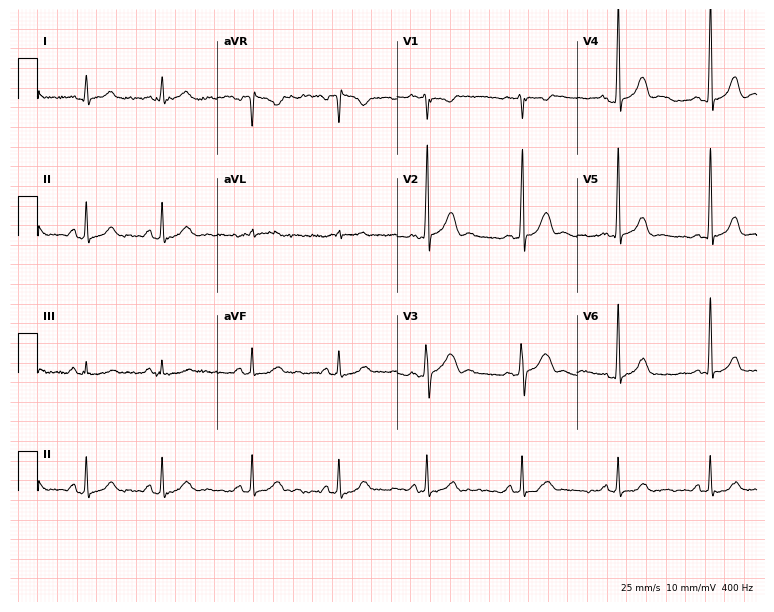
ECG (7.3-second recording at 400 Hz) — a male patient, 33 years old. Labelled as a normal ECG.